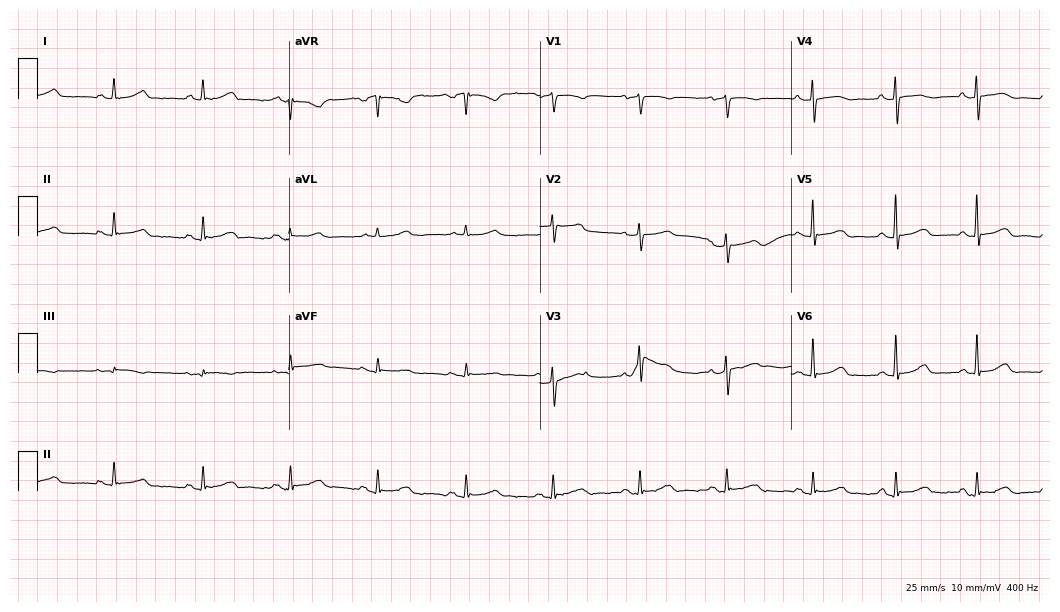
12-lead ECG from an 80-year-old male patient. Recorded interpretation: within normal limits.